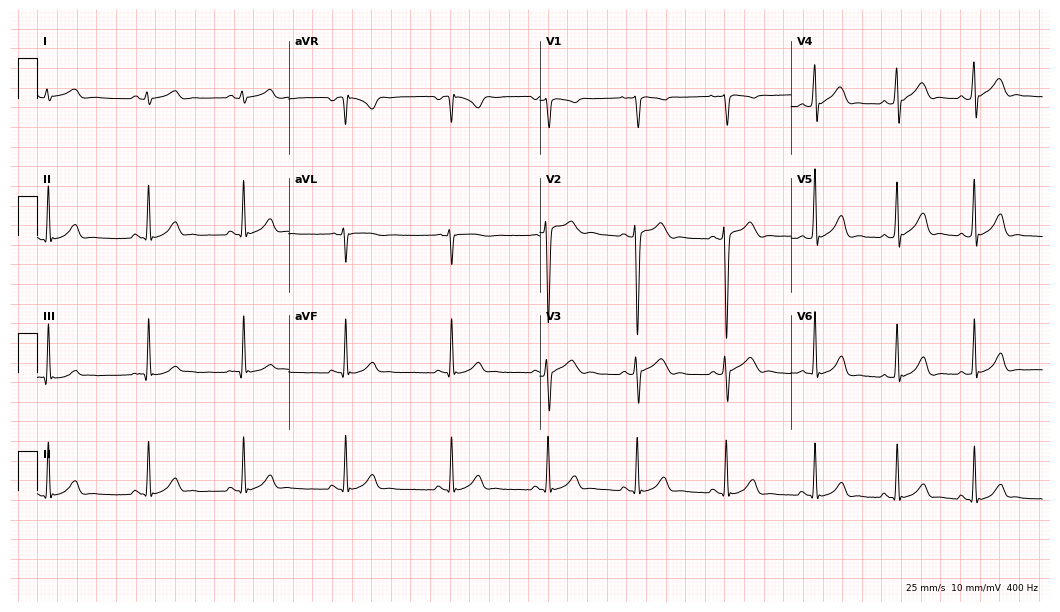
12-lead ECG from an 18-year-old male patient. Labelled as a normal ECG.